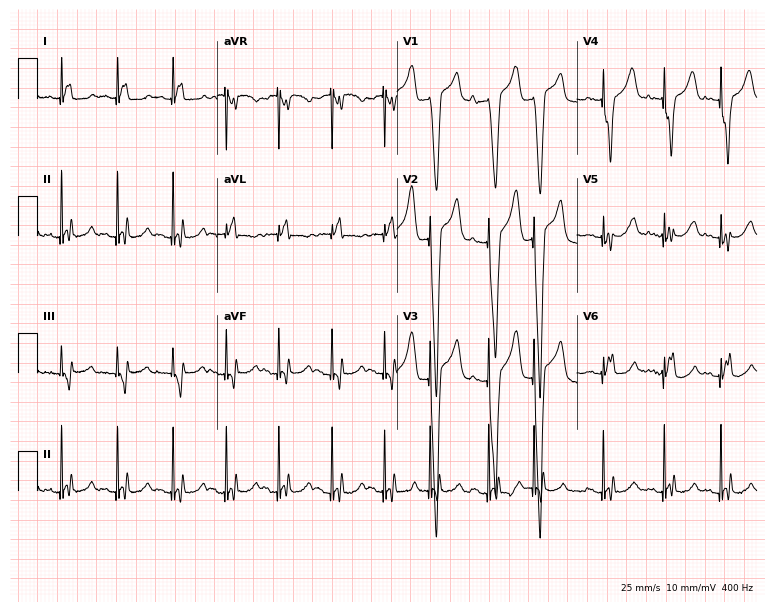
12-lead ECG (7.3-second recording at 400 Hz) from a male, 84 years old. Screened for six findings — first-degree AV block, right bundle branch block, left bundle branch block, sinus bradycardia, atrial fibrillation, sinus tachycardia — none is recorded.